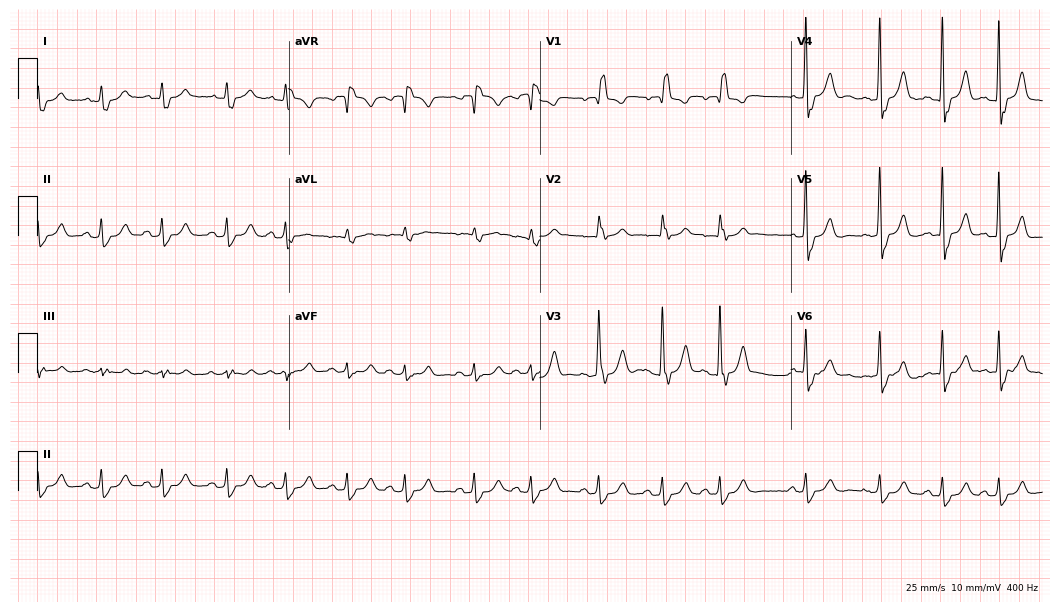
Resting 12-lead electrocardiogram. Patient: a 77-year-old man. The tracing shows right bundle branch block.